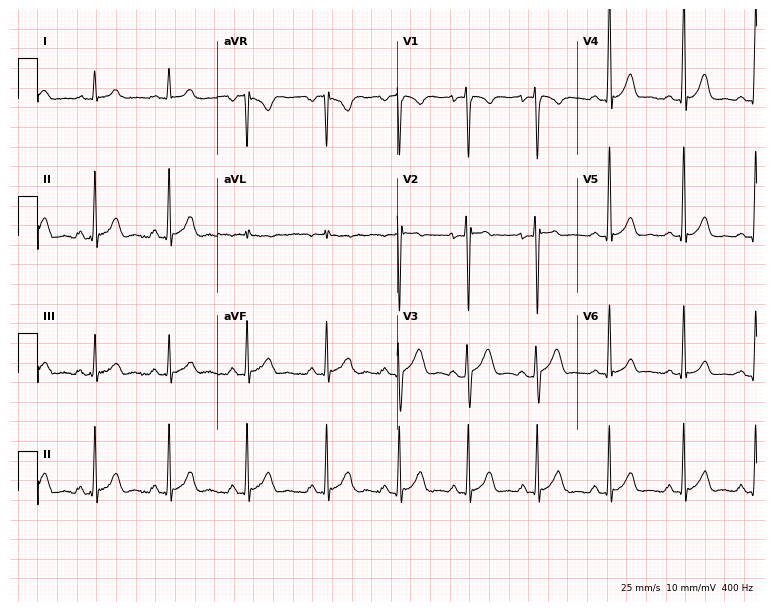
12-lead ECG from a male, 19 years old (7.3-second recording at 400 Hz). No first-degree AV block, right bundle branch block, left bundle branch block, sinus bradycardia, atrial fibrillation or sinus tachycardia recorded for this tracing.